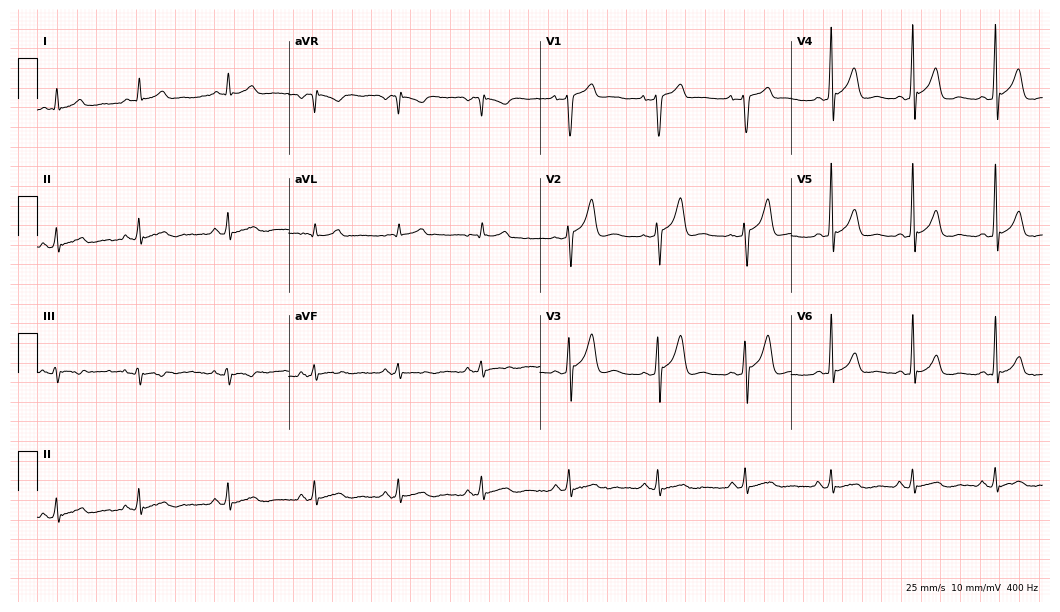
Resting 12-lead electrocardiogram. Patient: a male, 36 years old. None of these six findings is recorded: first-degree AV block, right bundle branch block, left bundle branch block, sinus bradycardia, atrial fibrillation, sinus tachycardia. Findings outside these six are not listed.